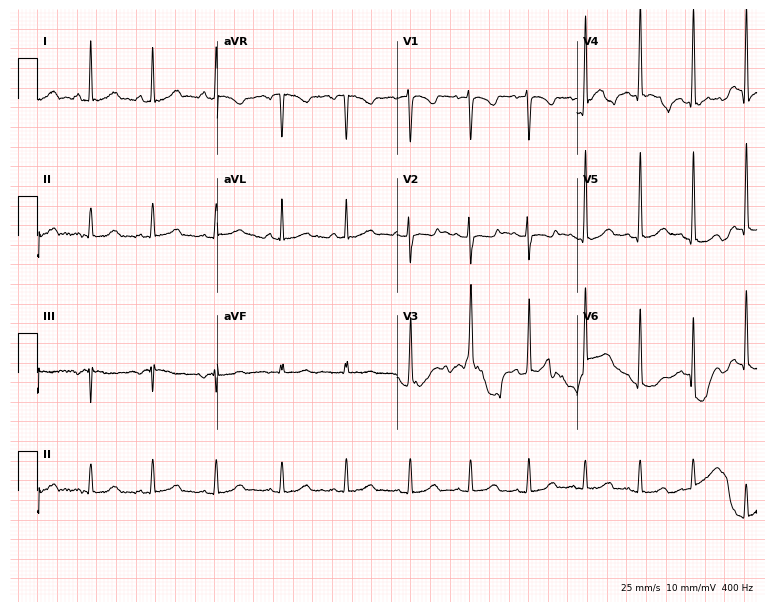
12-lead ECG from a 19-year-old female patient (7.3-second recording at 400 Hz). Recorded interpretation: within normal limits.